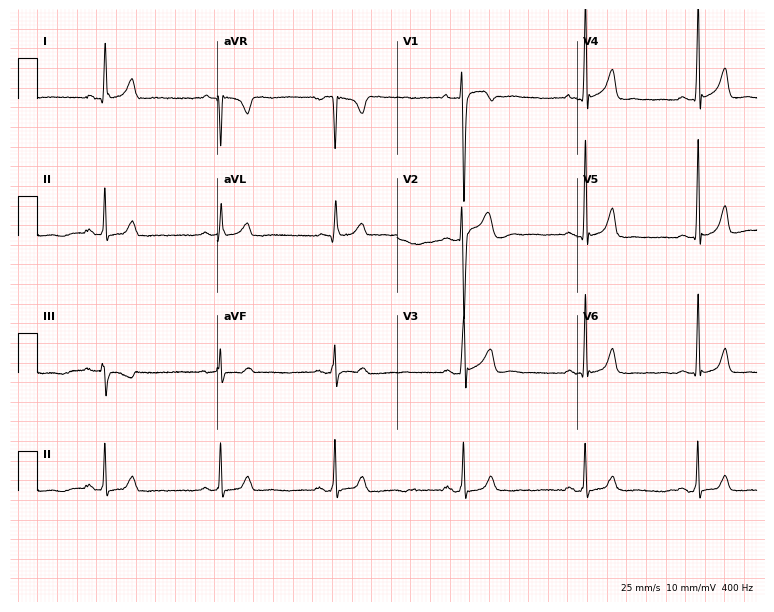
Electrocardiogram, a man, 24 years old. Overall reading on record: normal ECG.